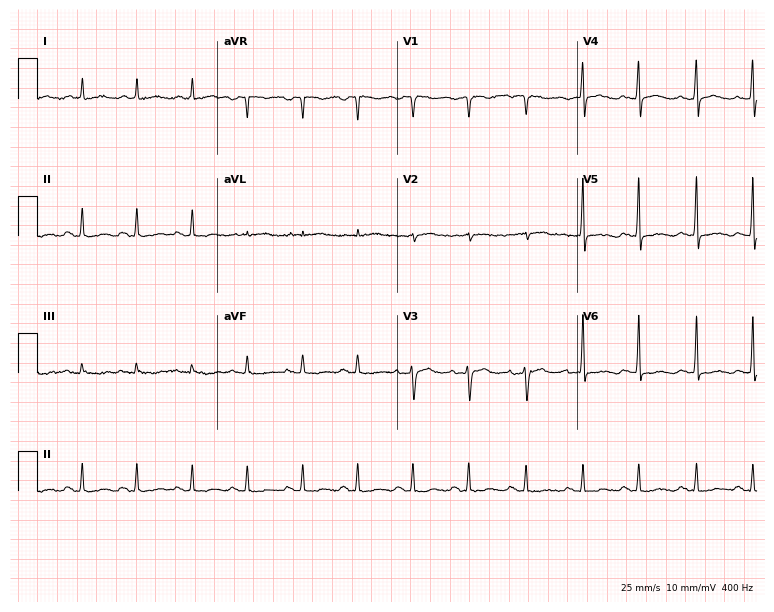
12-lead ECG from a 50-year-old woman (7.3-second recording at 400 Hz). Shows sinus tachycardia (a sinus rate of 100 beats per minute or more).